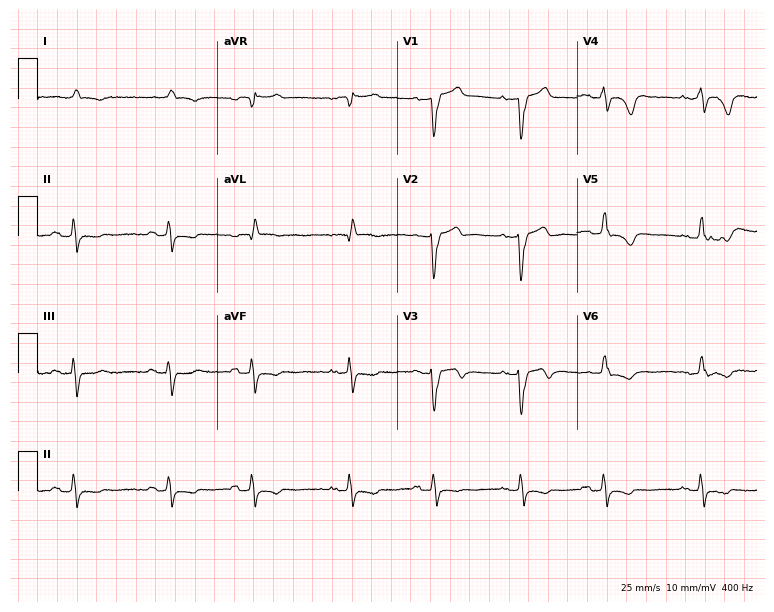
12-lead ECG (7.3-second recording at 400 Hz) from a man, 81 years old. Screened for six findings — first-degree AV block, right bundle branch block, left bundle branch block, sinus bradycardia, atrial fibrillation, sinus tachycardia — none is recorded.